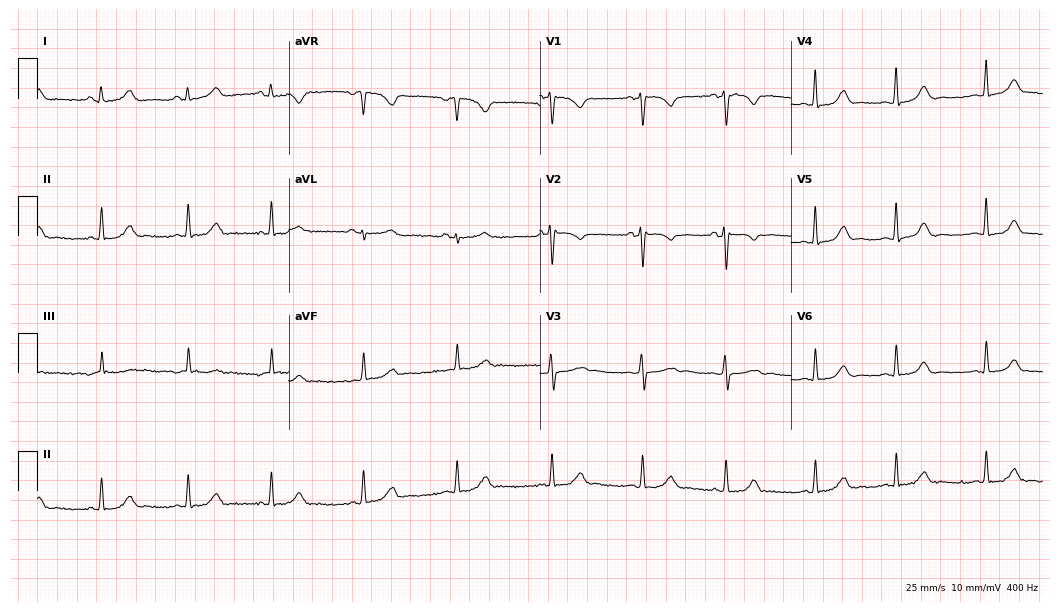
12-lead ECG from a 35-year-old female. No first-degree AV block, right bundle branch block, left bundle branch block, sinus bradycardia, atrial fibrillation or sinus tachycardia recorded for this tracing. Only these six findings were labelled.